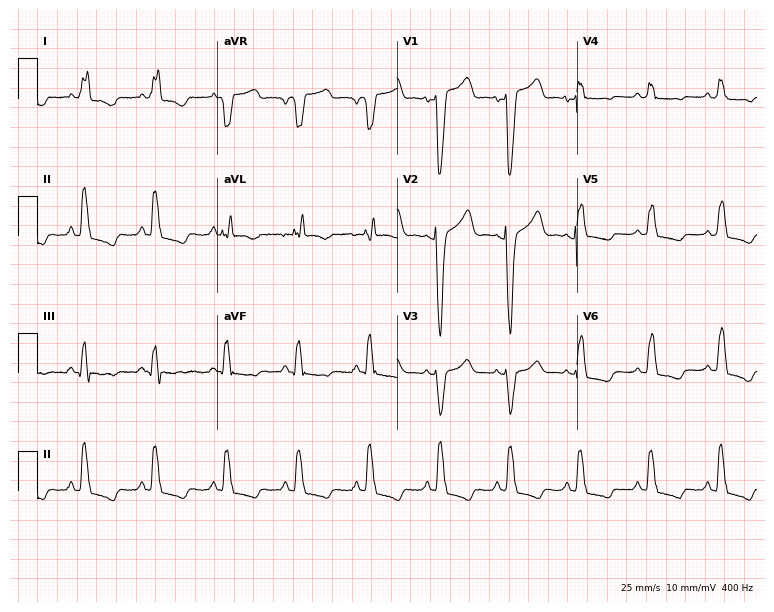
Standard 12-lead ECG recorded from a female, 86 years old (7.3-second recording at 400 Hz). The tracing shows left bundle branch block.